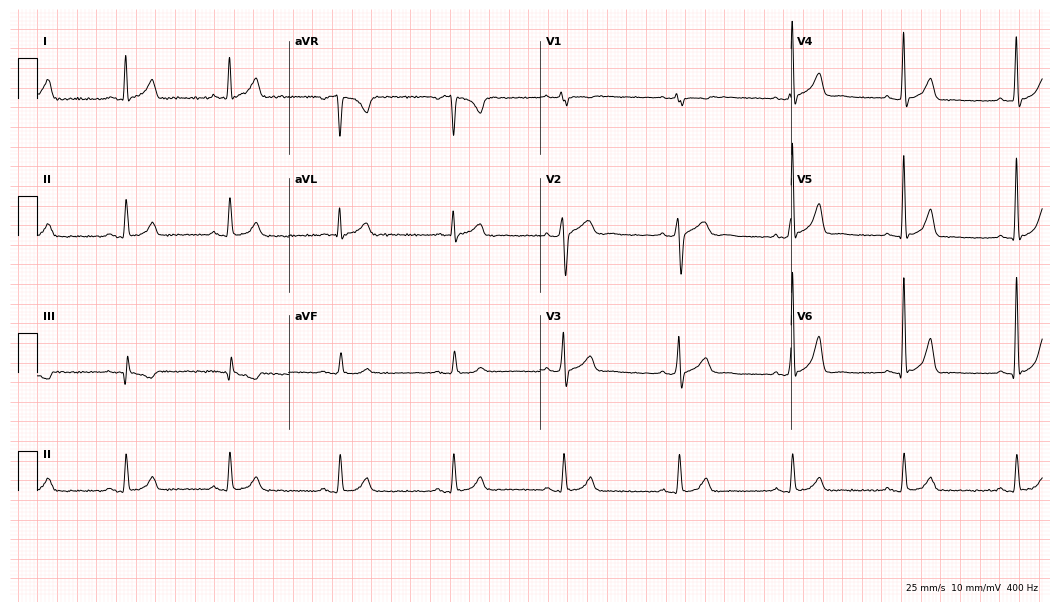
Standard 12-lead ECG recorded from a 43-year-old male patient (10.2-second recording at 400 Hz). Read as a normal ECG.